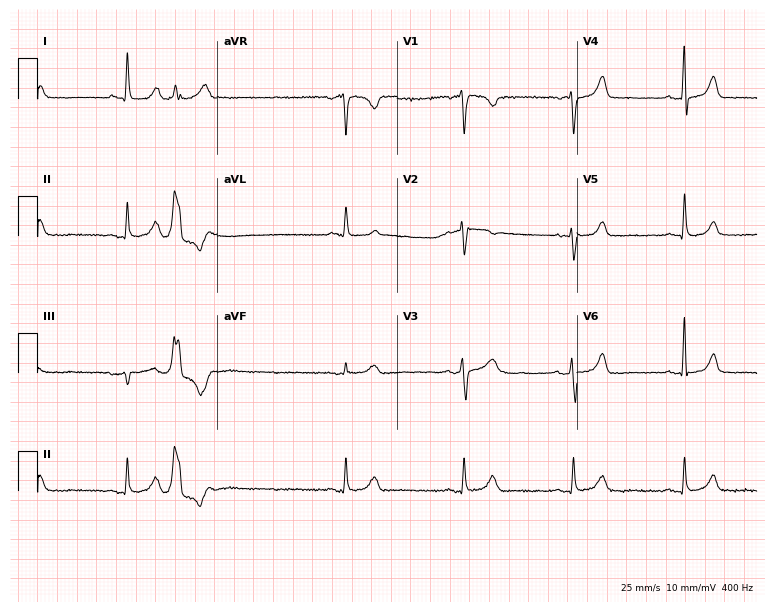
12-lead ECG from a 60-year-old female (7.3-second recording at 400 Hz). No first-degree AV block, right bundle branch block, left bundle branch block, sinus bradycardia, atrial fibrillation or sinus tachycardia recorded for this tracing.